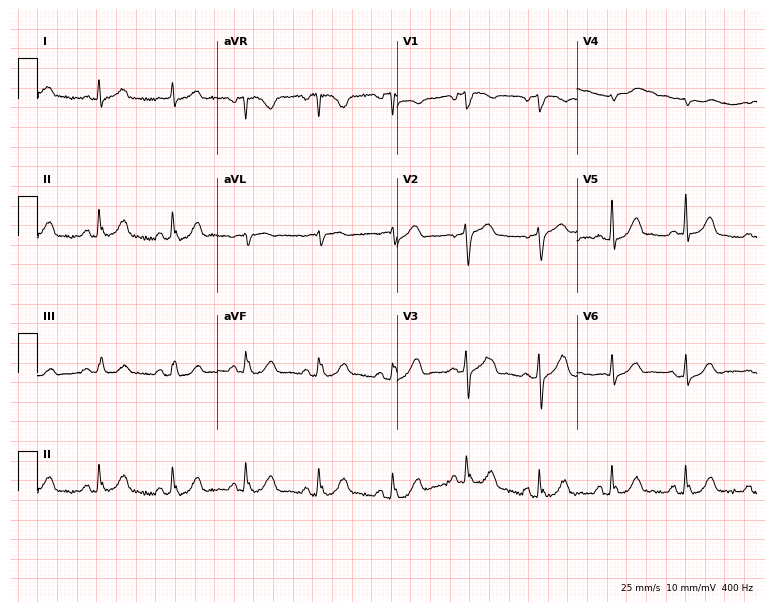
Resting 12-lead electrocardiogram. Patient: a 45-year-old male. Read as a normal ECG.